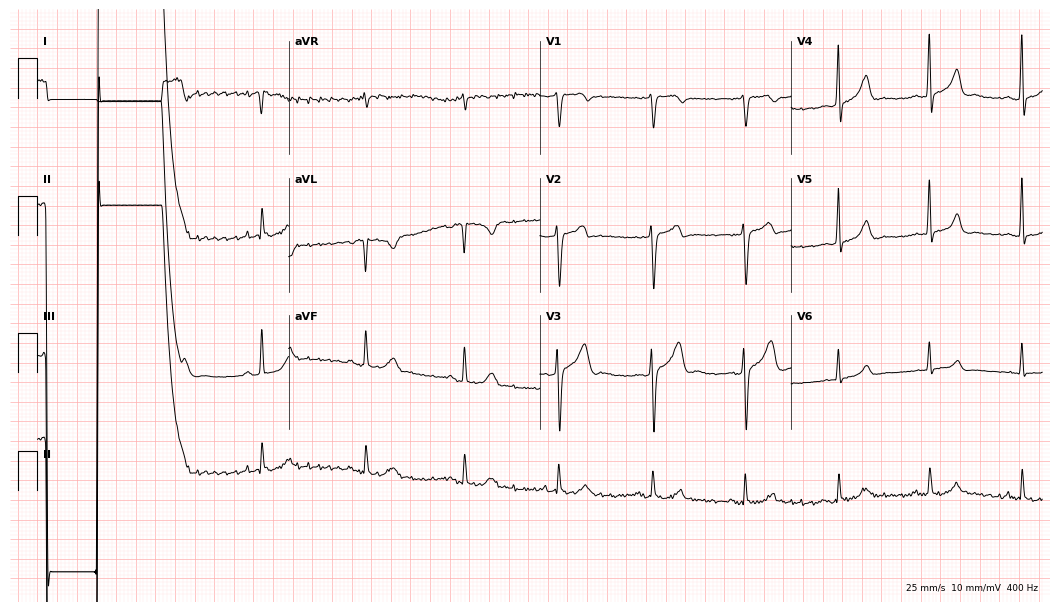
12-lead ECG from a male patient, 37 years old. Screened for six findings — first-degree AV block, right bundle branch block, left bundle branch block, sinus bradycardia, atrial fibrillation, sinus tachycardia — none is recorded. Only these six findings were labelled.